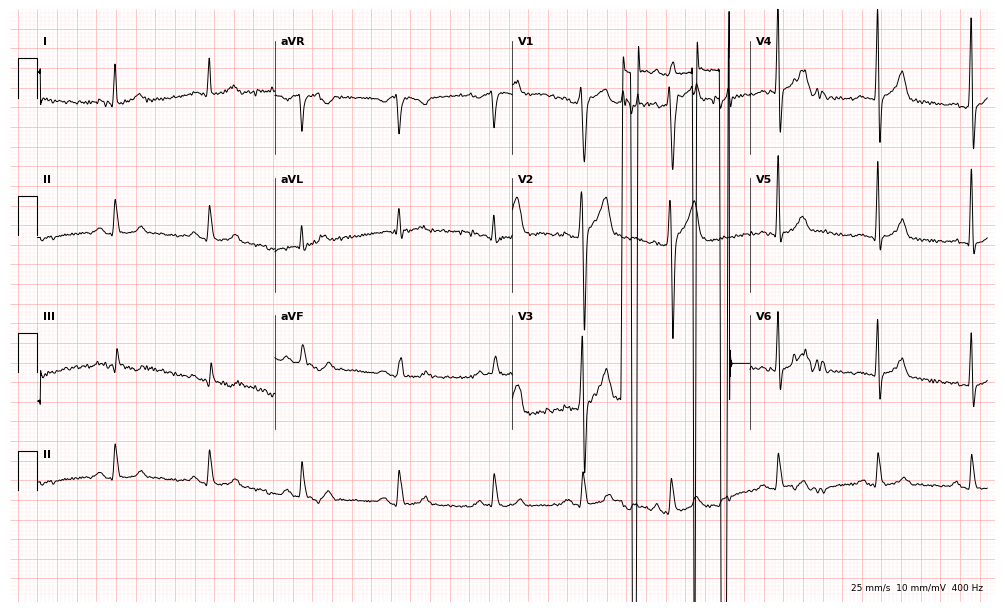
Electrocardiogram (9.7-second recording at 400 Hz), a man, 32 years old. Of the six screened findings (first-degree AV block, right bundle branch block, left bundle branch block, sinus bradycardia, atrial fibrillation, sinus tachycardia), none is recorded.